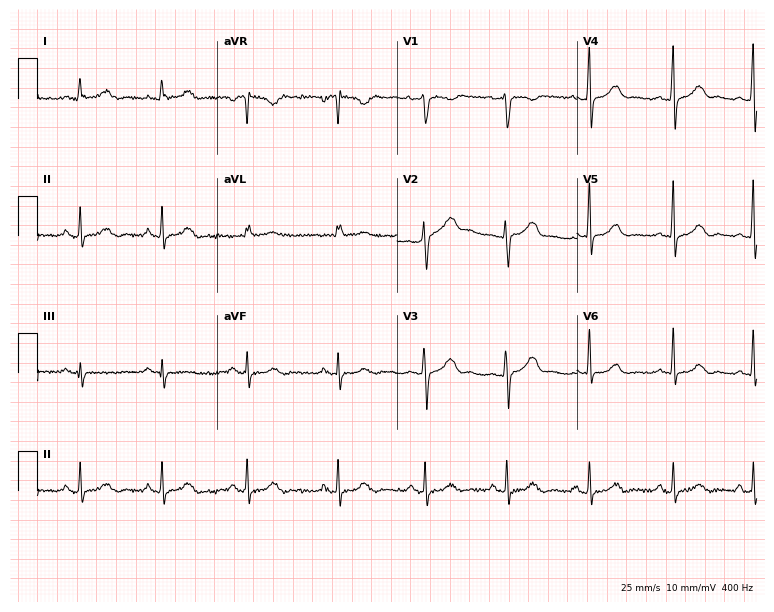
Standard 12-lead ECG recorded from a 35-year-old woman. None of these six findings is recorded: first-degree AV block, right bundle branch block, left bundle branch block, sinus bradycardia, atrial fibrillation, sinus tachycardia. Other findings, if any, are not listed.